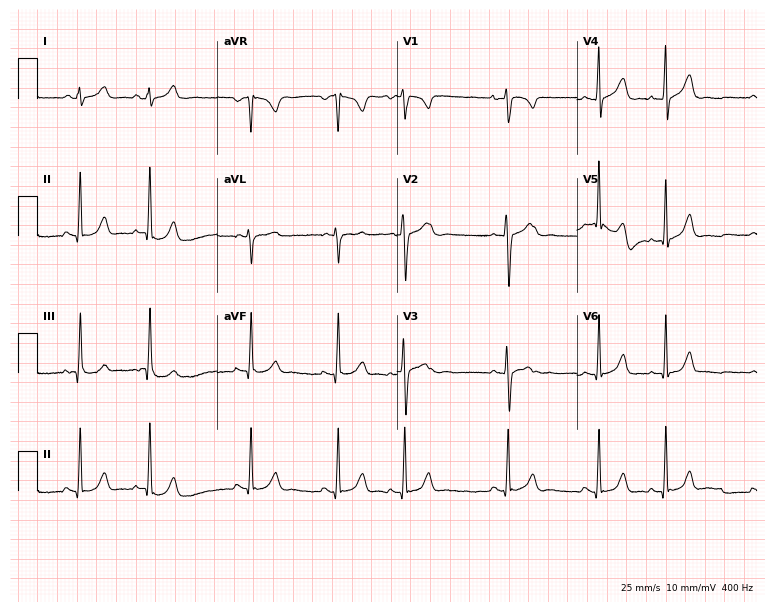
Standard 12-lead ECG recorded from a woman, 18 years old (7.3-second recording at 400 Hz). None of these six findings is recorded: first-degree AV block, right bundle branch block, left bundle branch block, sinus bradycardia, atrial fibrillation, sinus tachycardia.